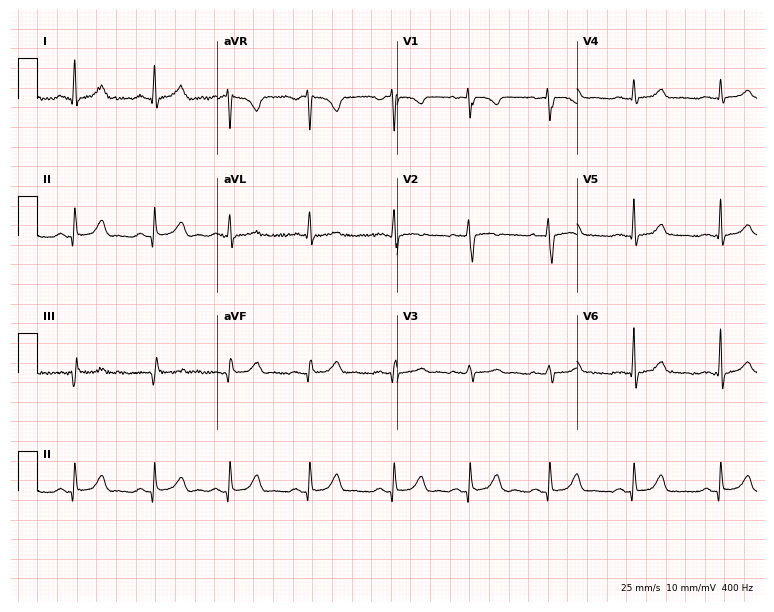
ECG (7.3-second recording at 400 Hz) — a 29-year-old female patient. Screened for six findings — first-degree AV block, right bundle branch block, left bundle branch block, sinus bradycardia, atrial fibrillation, sinus tachycardia — none is recorded.